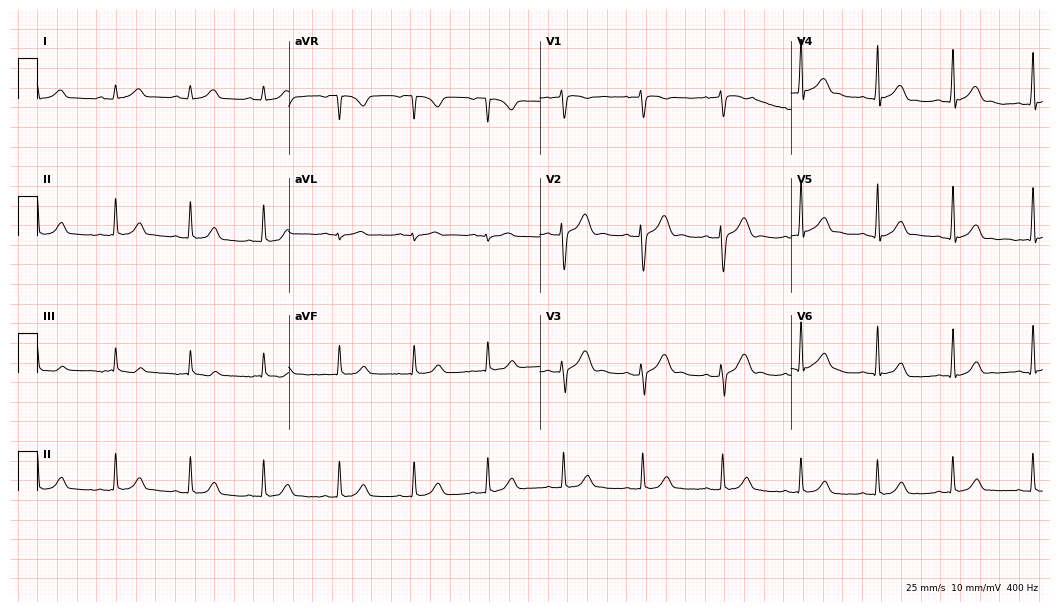
Resting 12-lead electrocardiogram (10.2-second recording at 400 Hz). Patient: a male, 24 years old. None of these six findings is recorded: first-degree AV block, right bundle branch block (RBBB), left bundle branch block (LBBB), sinus bradycardia, atrial fibrillation (AF), sinus tachycardia. Other findings, if any, are not listed.